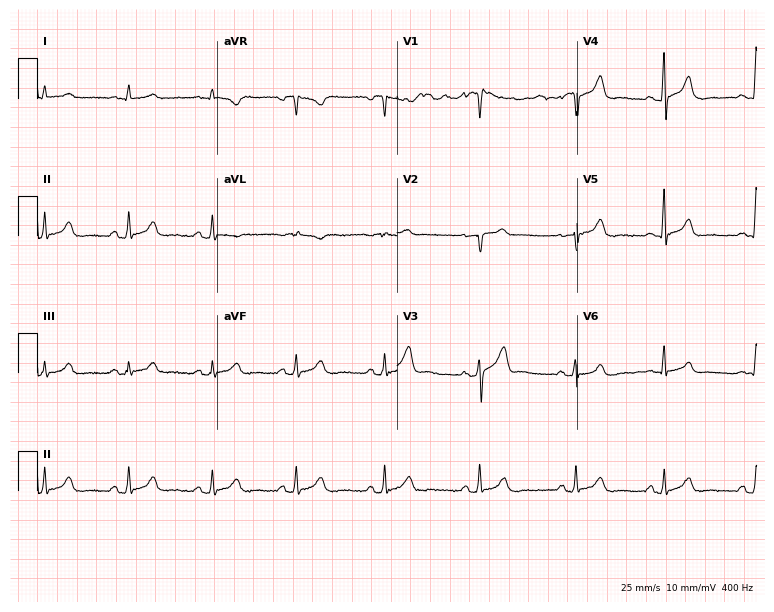
Resting 12-lead electrocardiogram (7.3-second recording at 400 Hz). Patient: a 45-year-old male. Read as a normal ECG.